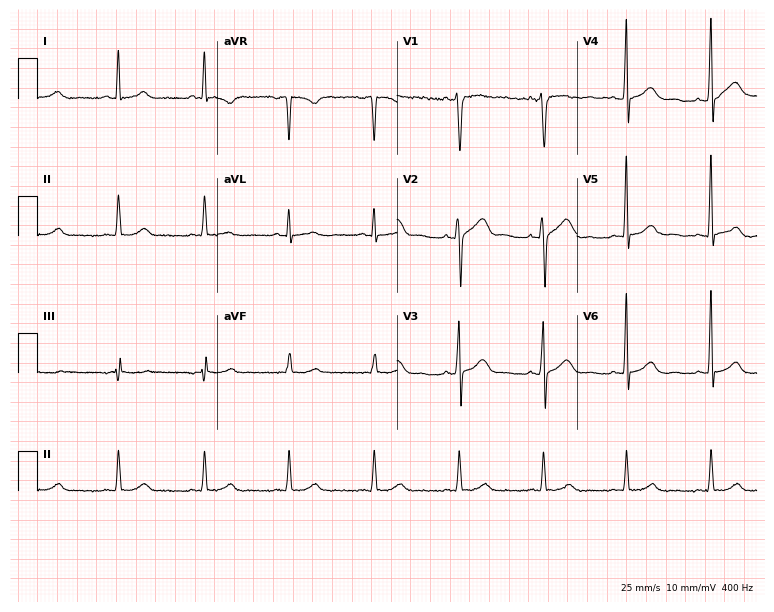
12-lead ECG from a 57-year-old male patient (7.3-second recording at 400 Hz). Recorded interpretation: within normal limits.